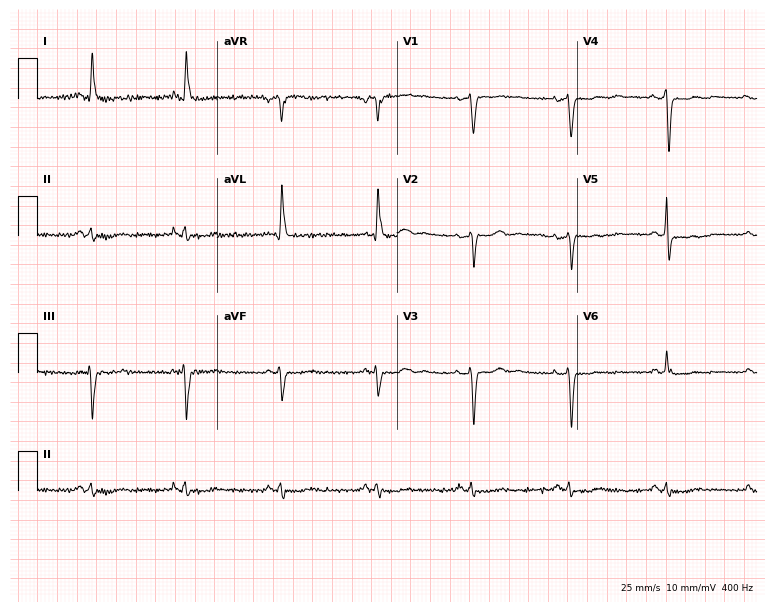
Standard 12-lead ECG recorded from a 75-year-old woman (7.3-second recording at 400 Hz). None of these six findings is recorded: first-degree AV block, right bundle branch block (RBBB), left bundle branch block (LBBB), sinus bradycardia, atrial fibrillation (AF), sinus tachycardia.